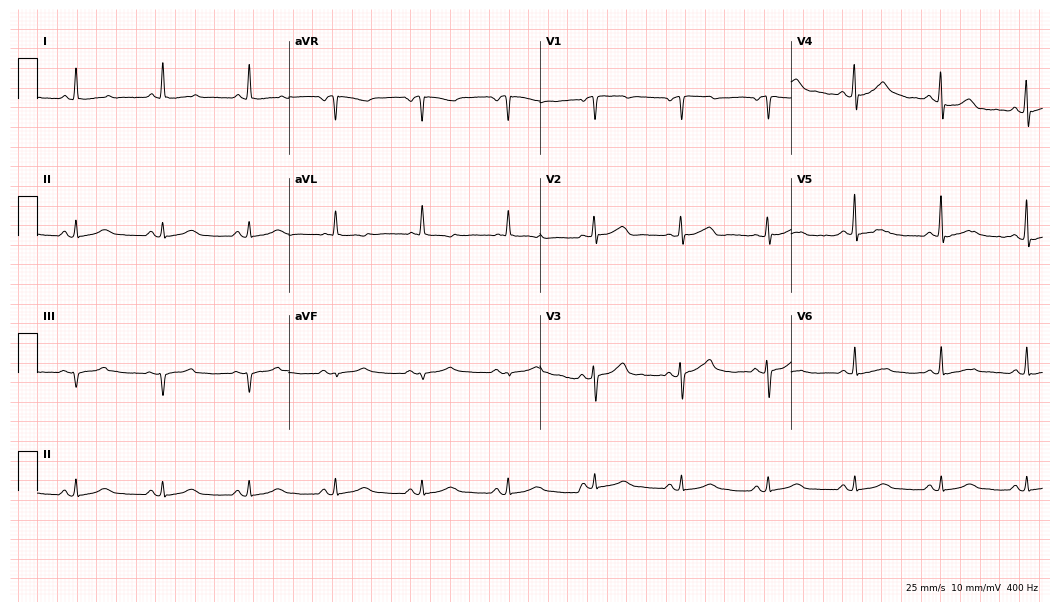
12-lead ECG from a male patient, 82 years old. Recorded interpretation: within normal limits.